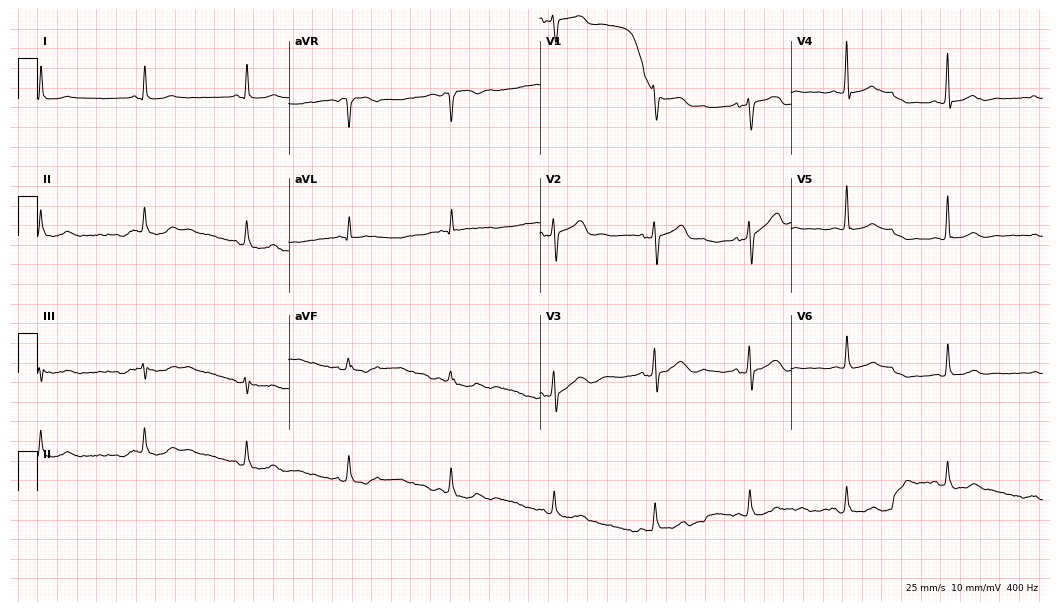
Resting 12-lead electrocardiogram (10.2-second recording at 400 Hz). Patient: an 82-year-old female. None of these six findings is recorded: first-degree AV block, right bundle branch block (RBBB), left bundle branch block (LBBB), sinus bradycardia, atrial fibrillation (AF), sinus tachycardia.